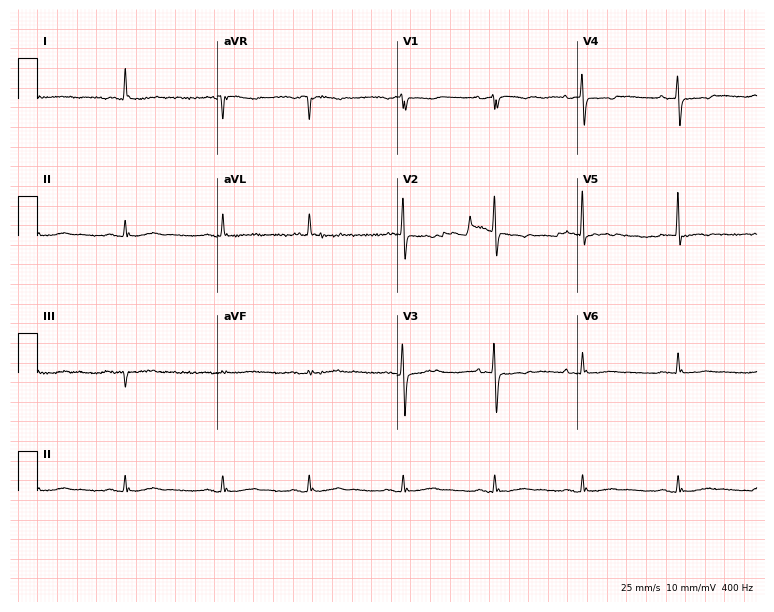
12-lead ECG from a female, 76 years old. No first-degree AV block, right bundle branch block (RBBB), left bundle branch block (LBBB), sinus bradycardia, atrial fibrillation (AF) or sinus tachycardia recorded for this tracing.